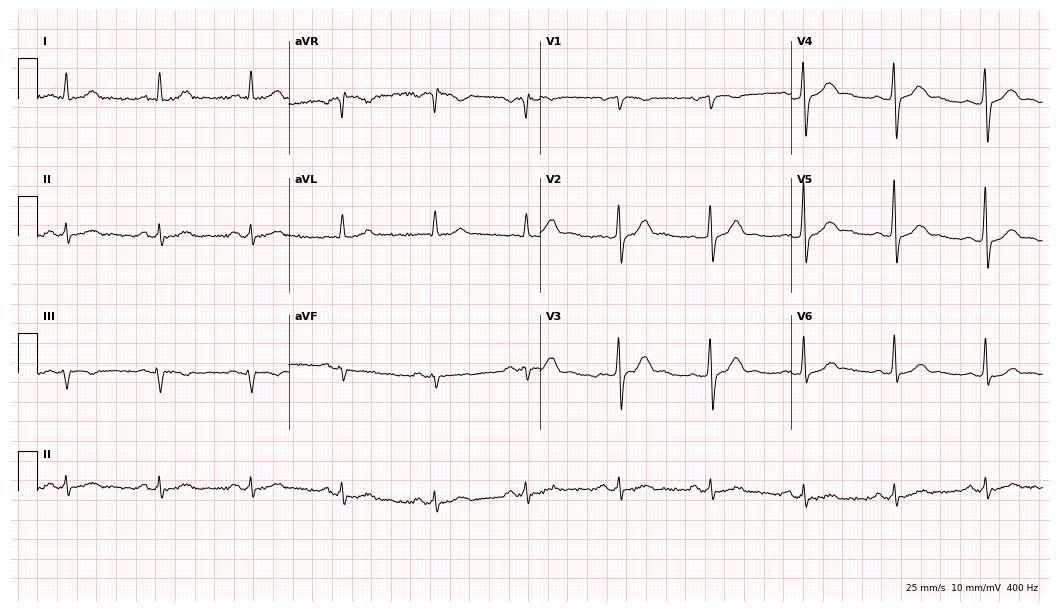
Resting 12-lead electrocardiogram. Patient: a 58-year-old male. Read as a normal ECG.